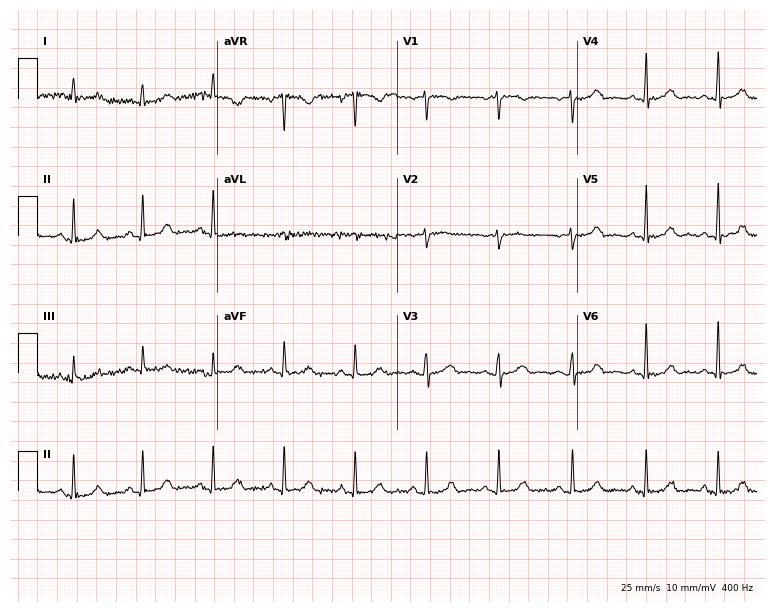
Electrocardiogram (7.3-second recording at 400 Hz), a 54-year-old female. Overall reading on record: normal ECG.